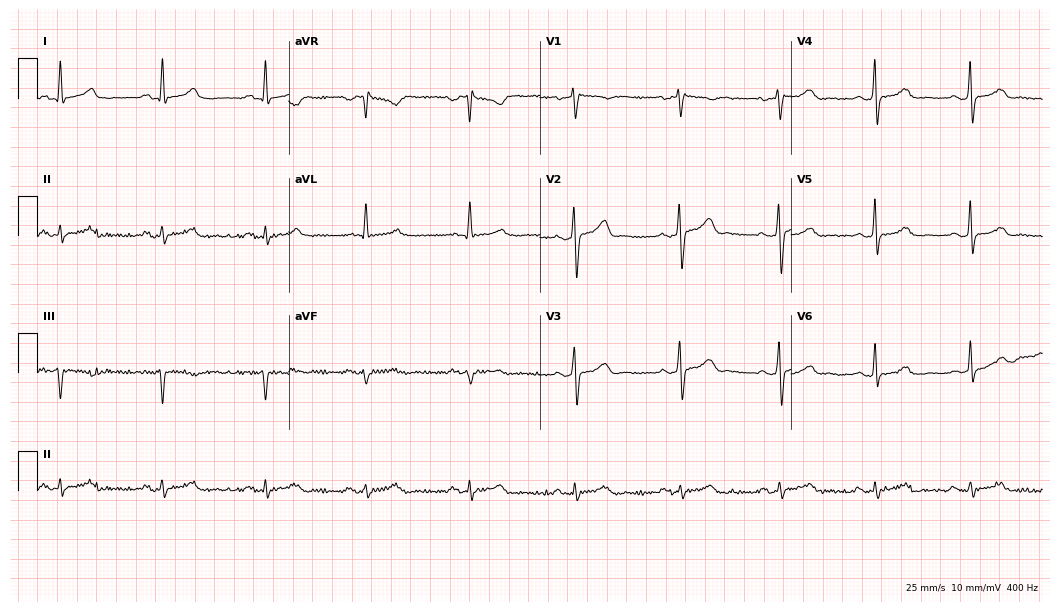
Electrocardiogram, a 50-year-old man. Overall reading on record: normal ECG.